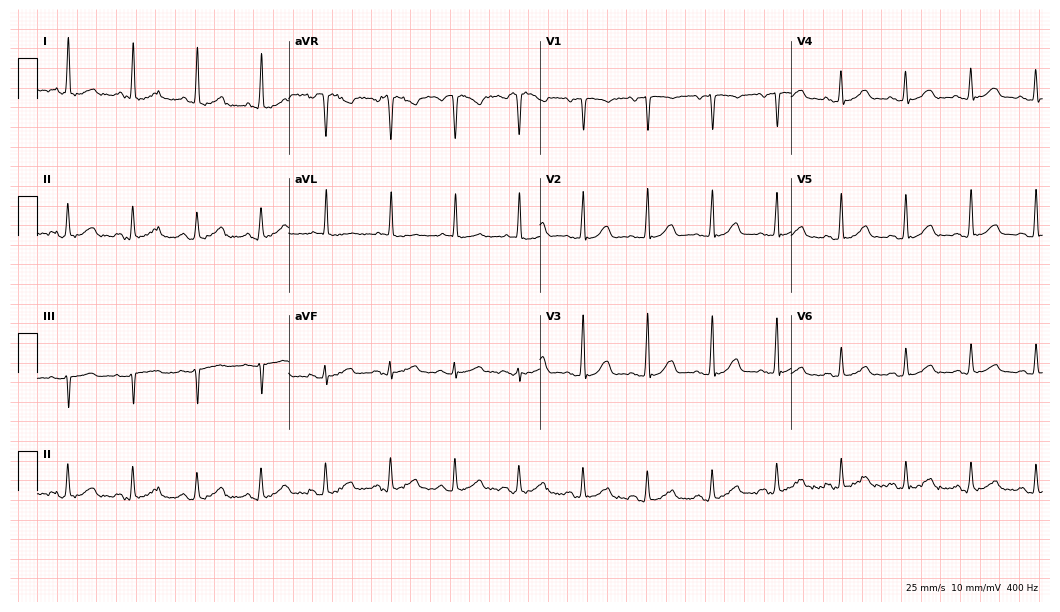
12-lead ECG from a female, 78 years old. Labelled as a normal ECG.